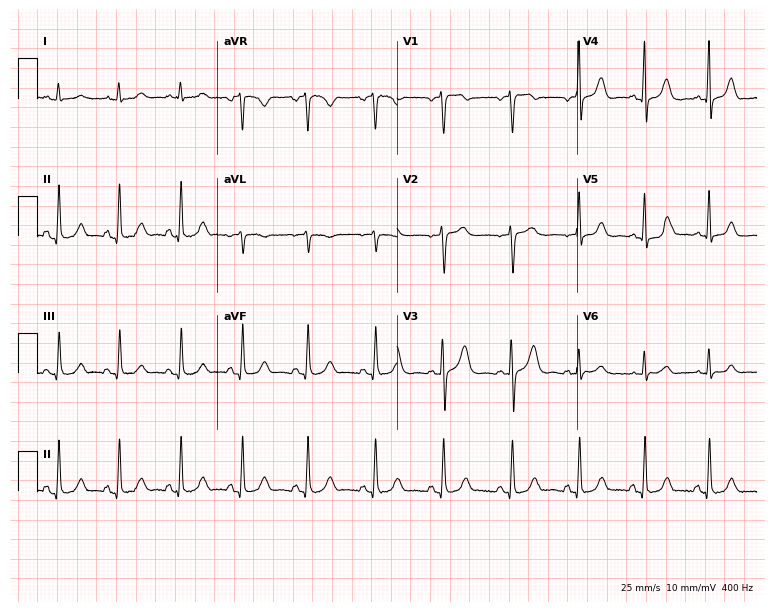
ECG (7.3-second recording at 400 Hz) — a woman, 59 years old. Screened for six findings — first-degree AV block, right bundle branch block, left bundle branch block, sinus bradycardia, atrial fibrillation, sinus tachycardia — none is recorded.